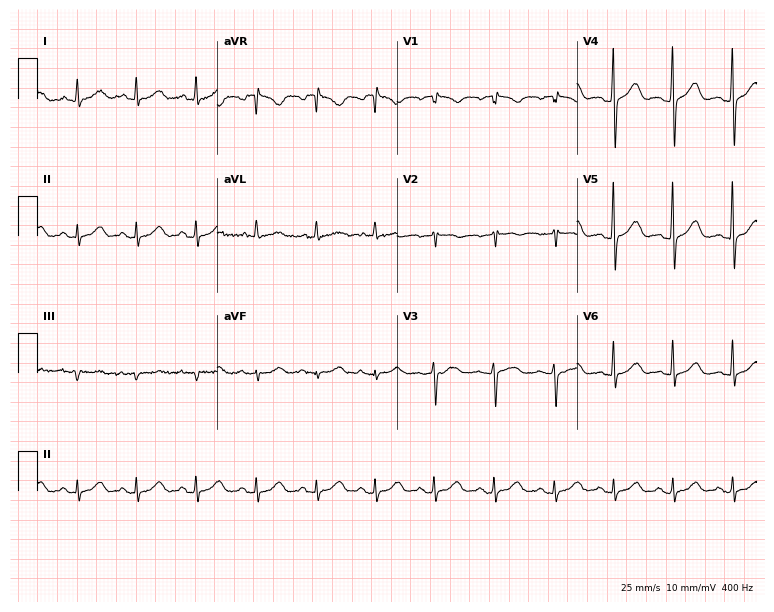
Resting 12-lead electrocardiogram (7.3-second recording at 400 Hz). Patient: a 77-year-old female. Read as a normal ECG.